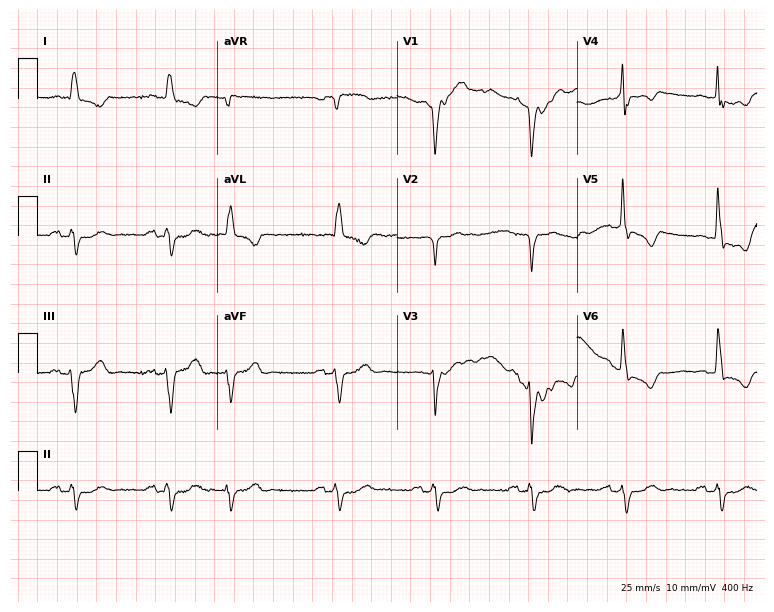
Resting 12-lead electrocardiogram. Patient: a 79-year-old male. The tracing shows left bundle branch block (LBBB).